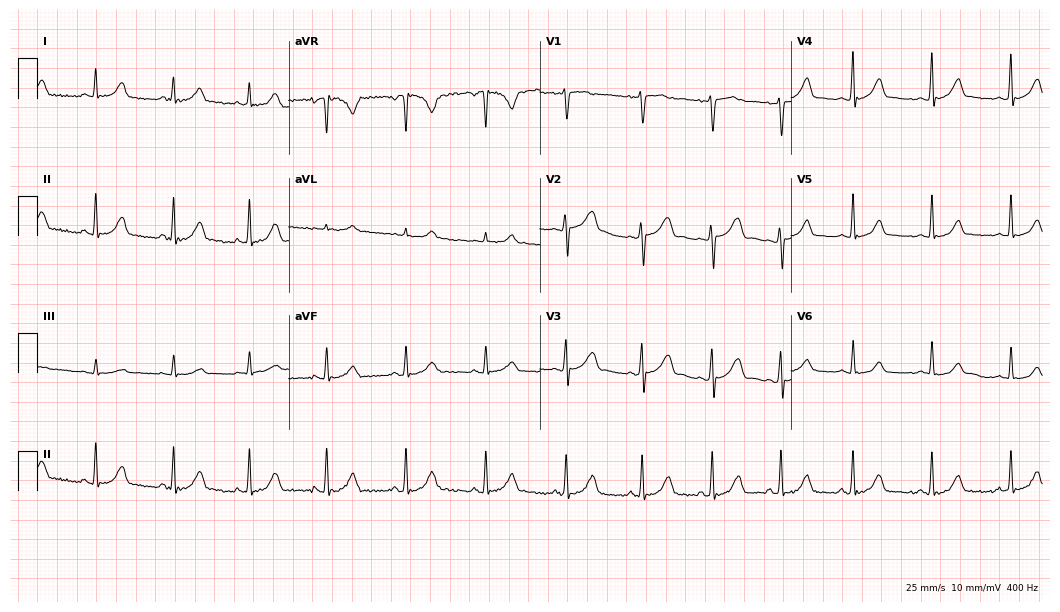
12-lead ECG from a 20-year-old female patient (10.2-second recording at 400 Hz). No first-degree AV block, right bundle branch block, left bundle branch block, sinus bradycardia, atrial fibrillation or sinus tachycardia recorded for this tracing. Only these six findings were labelled.